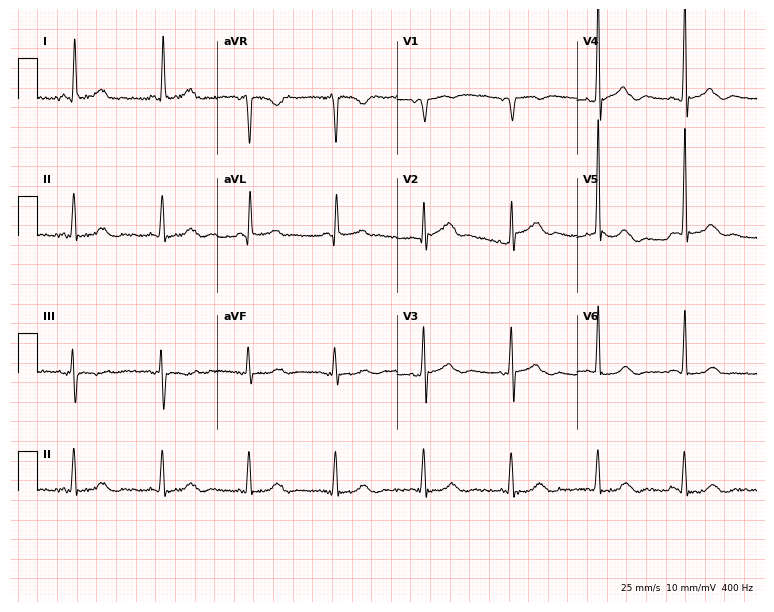
12-lead ECG (7.3-second recording at 400 Hz) from a female patient, 72 years old. Labelled as a normal ECG.